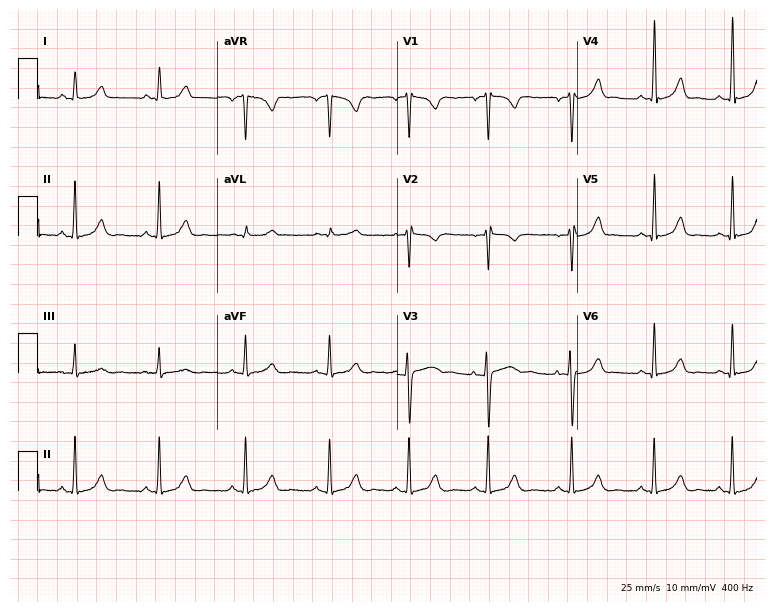
ECG — a female, 25 years old. Screened for six findings — first-degree AV block, right bundle branch block (RBBB), left bundle branch block (LBBB), sinus bradycardia, atrial fibrillation (AF), sinus tachycardia — none is recorded. Other findings, if any, are not listed.